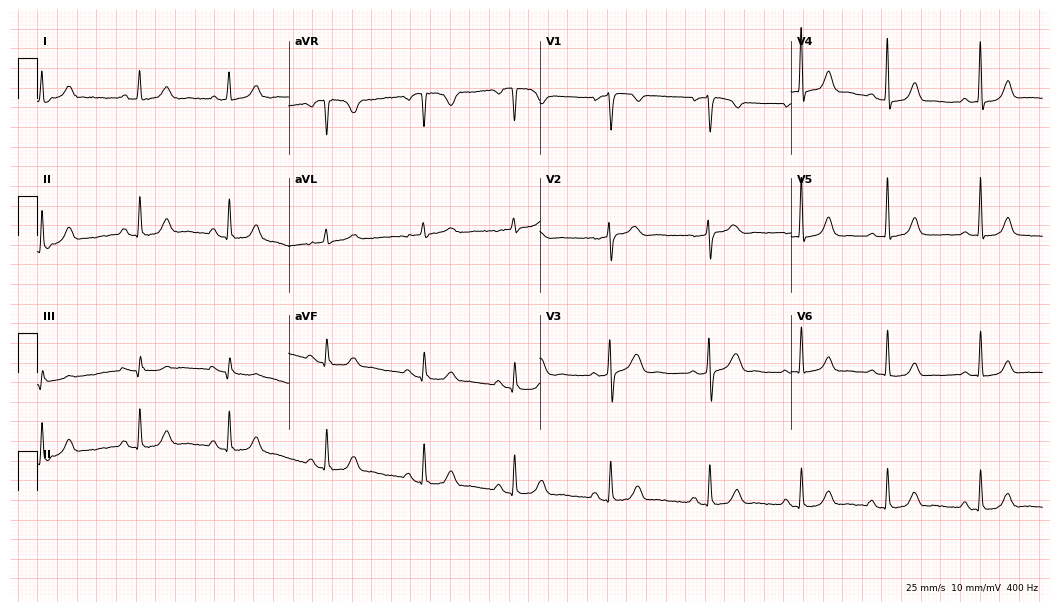
Electrocardiogram (10.2-second recording at 400 Hz), a female, 45 years old. Overall reading on record: normal ECG.